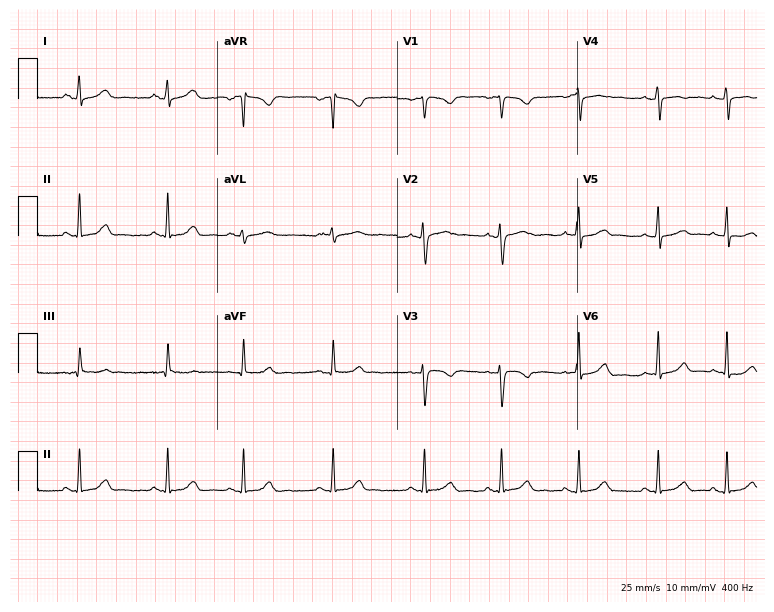
ECG — a 22-year-old female patient. Labelled as a normal ECG.